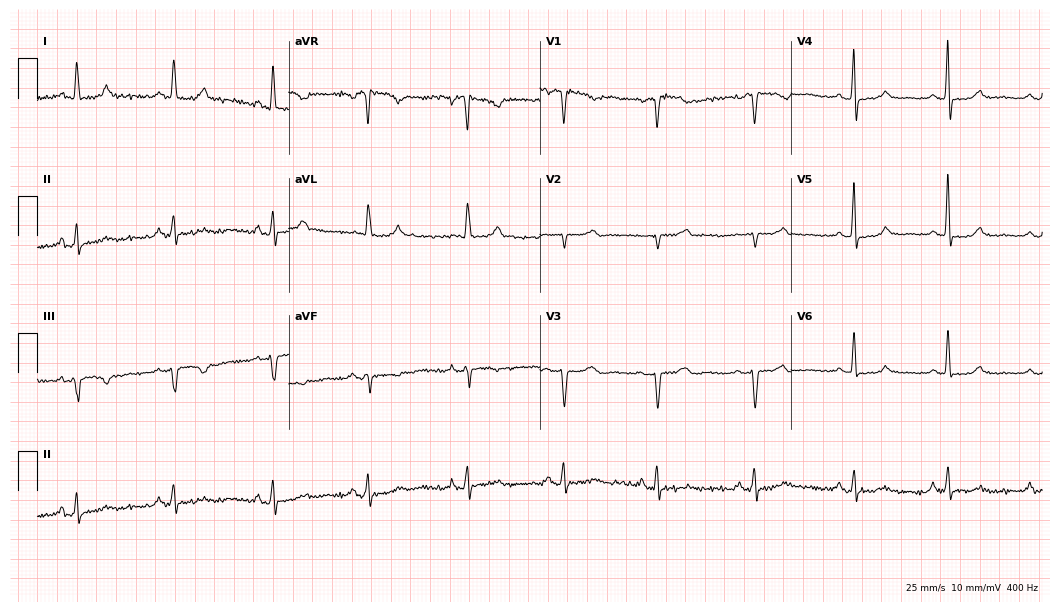
Standard 12-lead ECG recorded from a 71-year-old woman (10.2-second recording at 400 Hz). None of these six findings is recorded: first-degree AV block, right bundle branch block, left bundle branch block, sinus bradycardia, atrial fibrillation, sinus tachycardia. Findings outside these six are not listed.